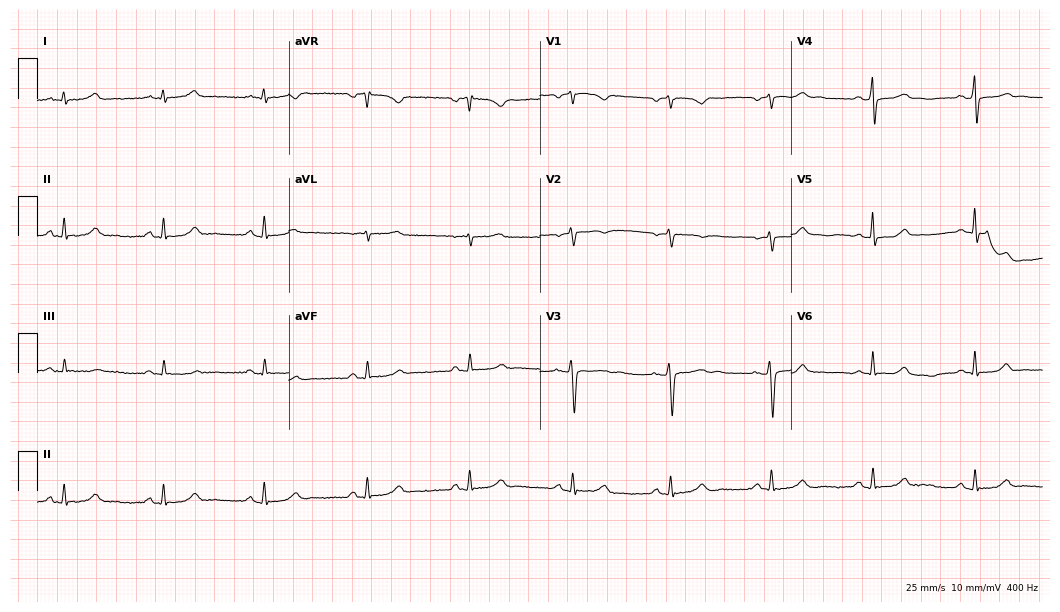
Resting 12-lead electrocardiogram (10.2-second recording at 400 Hz). Patient: a 49-year-old female. None of these six findings is recorded: first-degree AV block, right bundle branch block (RBBB), left bundle branch block (LBBB), sinus bradycardia, atrial fibrillation (AF), sinus tachycardia.